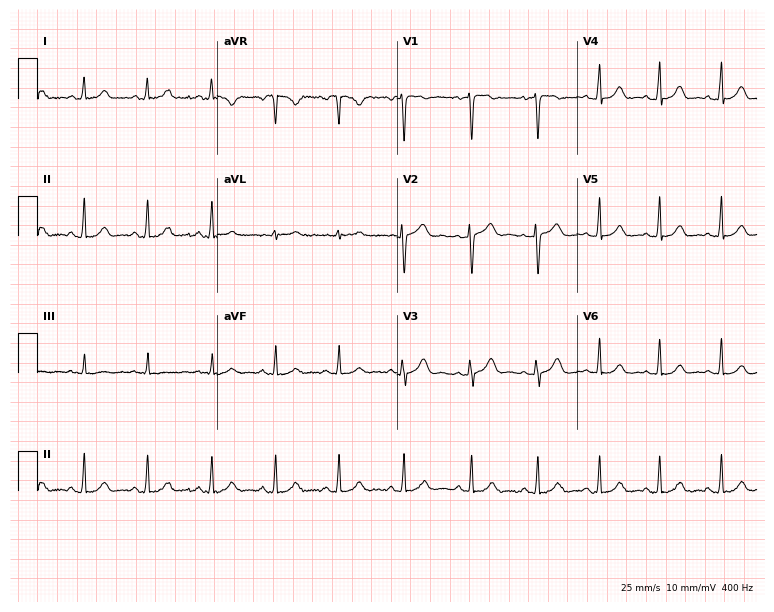
Resting 12-lead electrocardiogram. Patient: a female, 40 years old. None of these six findings is recorded: first-degree AV block, right bundle branch block (RBBB), left bundle branch block (LBBB), sinus bradycardia, atrial fibrillation (AF), sinus tachycardia. Findings outside these six are not listed.